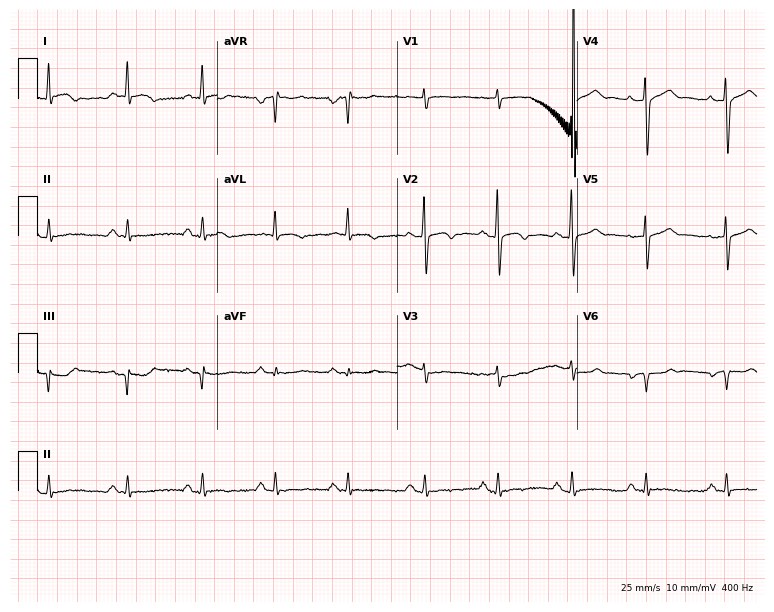
Electrocardiogram, a male patient, 55 years old. Of the six screened findings (first-degree AV block, right bundle branch block, left bundle branch block, sinus bradycardia, atrial fibrillation, sinus tachycardia), none is recorded. Only these six findings were labelled.